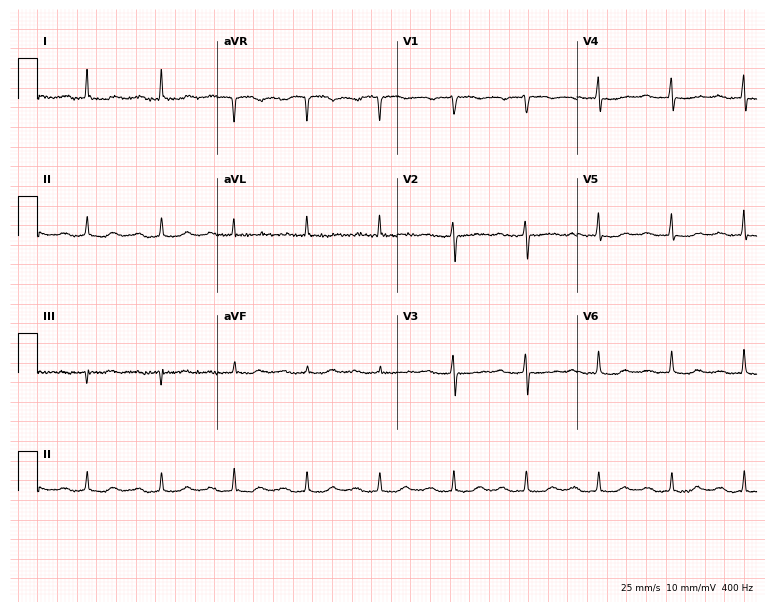
Standard 12-lead ECG recorded from a 67-year-old female patient (7.3-second recording at 400 Hz). None of these six findings is recorded: first-degree AV block, right bundle branch block, left bundle branch block, sinus bradycardia, atrial fibrillation, sinus tachycardia. Other findings, if any, are not listed.